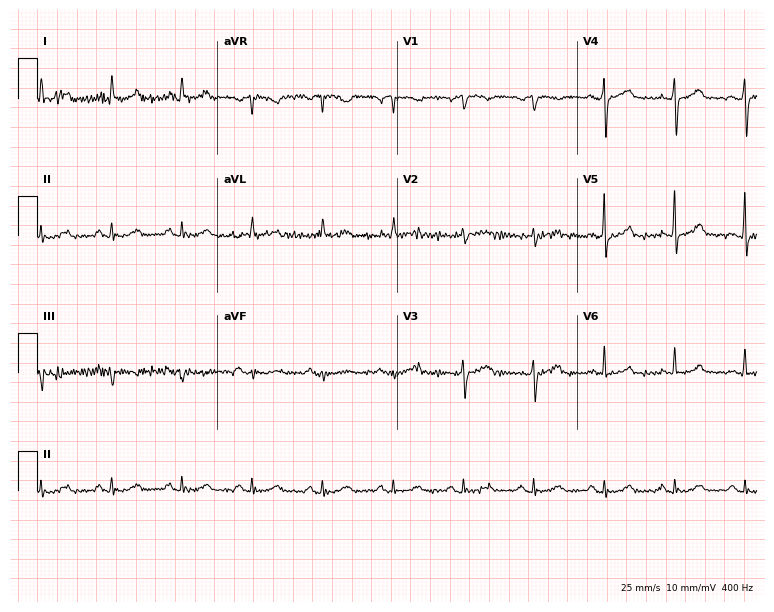
12-lead ECG from a female, 63 years old (7.3-second recording at 400 Hz). No first-degree AV block, right bundle branch block (RBBB), left bundle branch block (LBBB), sinus bradycardia, atrial fibrillation (AF) or sinus tachycardia recorded for this tracing. Findings outside these six are not listed.